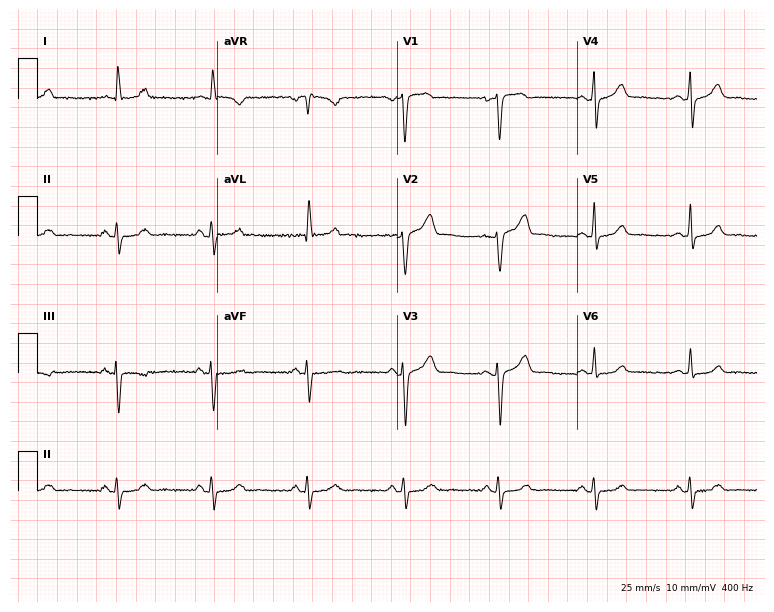
ECG — a female patient, 65 years old. Labelled as a normal ECG.